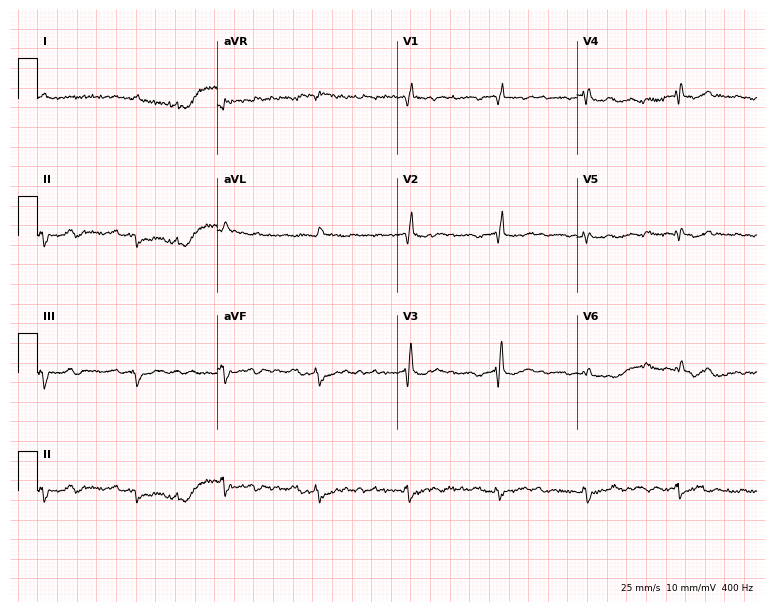
12-lead ECG (7.3-second recording at 400 Hz) from a female patient, 78 years old. Findings include atrial fibrillation.